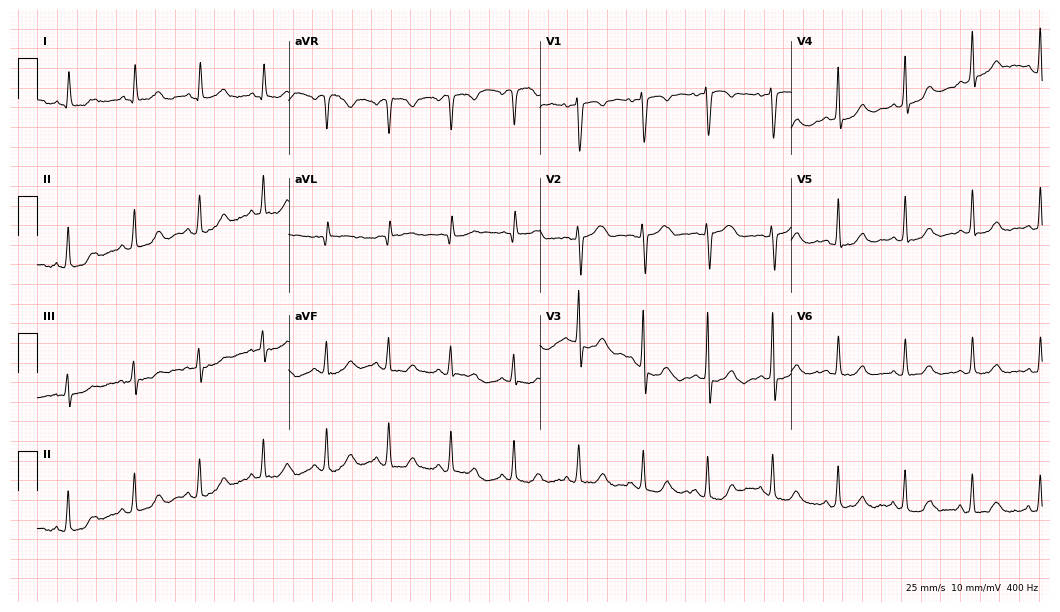
Electrocardiogram (10.2-second recording at 400 Hz), a 44-year-old woman. Of the six screened findings (first-degree AV block, right bundle branch block, left bundle branch block, sinus bradycardia, atrial fibrillation, sinus tachycardia), none is recorded.